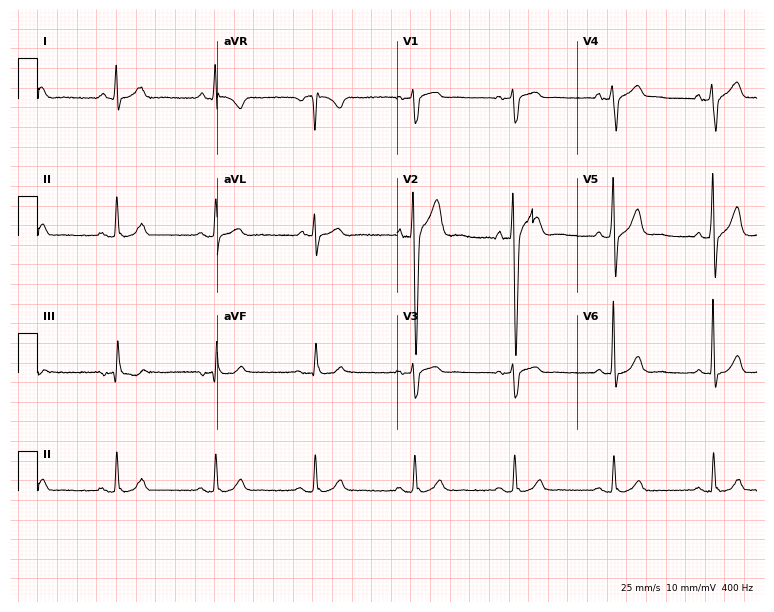
12-lead ECG (7.3-second recording at 400 Hz) from a 73-year-old male. Labelled as a normal ECG.